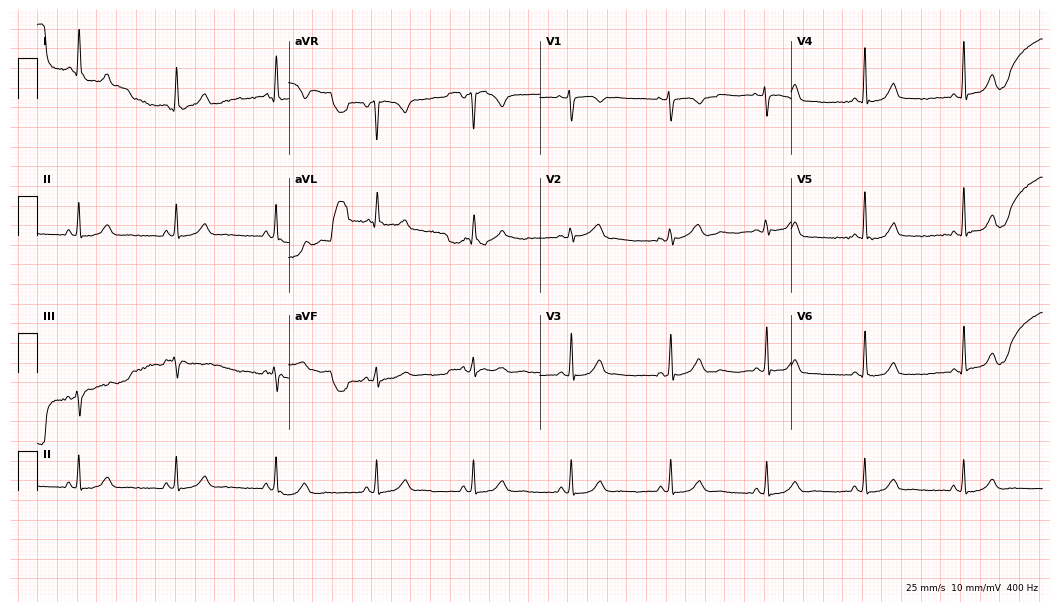
Resting 12-lead electrocardiogram. Patient: a female, 48 years old. Read as a normal ECG.